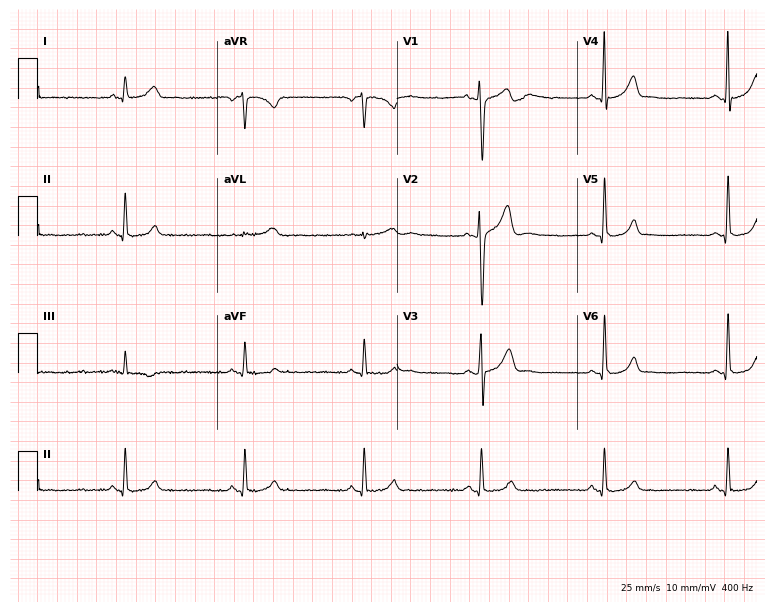
Electrocardiogram, a 22-year-old male. Interpretation includes sinus bradycardia (a sinus rate of 50 beats per minute or less).